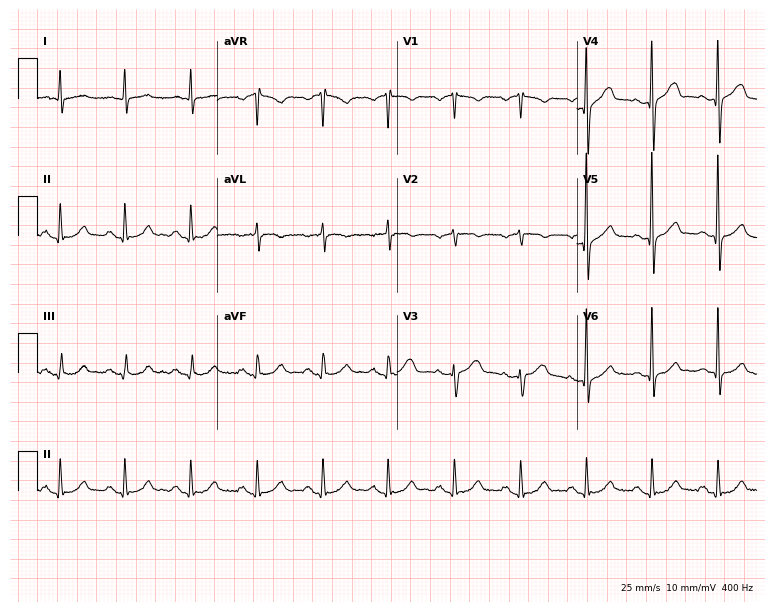
Standard 12-lead ECG recorded from a male, 70 years old. None of these six findings is recorded: first-degree AV block, right bundle branch block (RBBB), left bundle branch block (LBBB), sinus bradycardia, atrial fibrillation (AF), sinus tachycardia. Only these six findings were labelled.